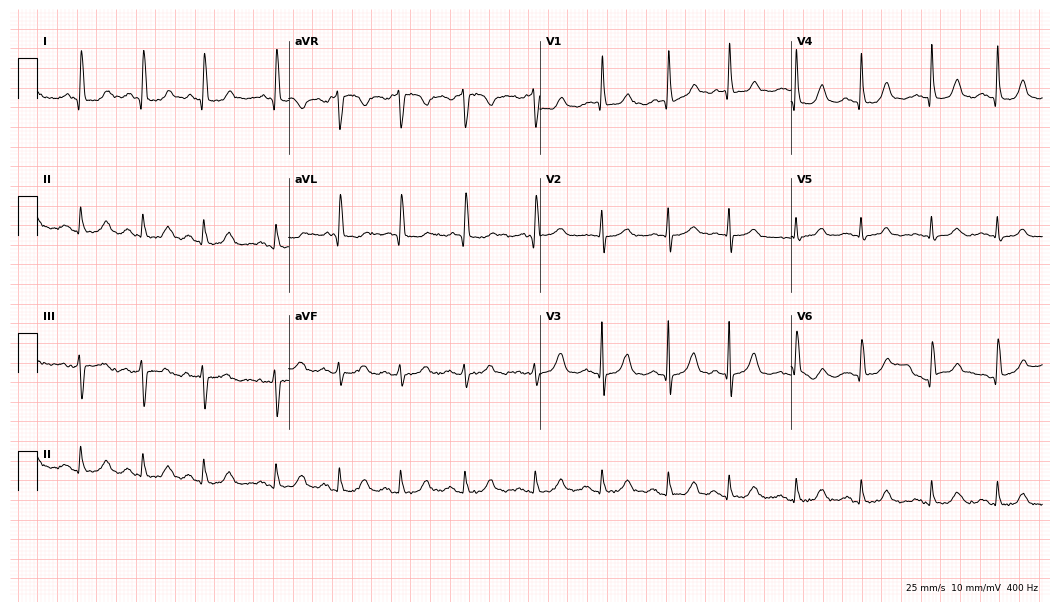
12-lead ECG (10.2-second recording at 400 Hz) from an 83-year-old female. Labelled as a normal ECG.